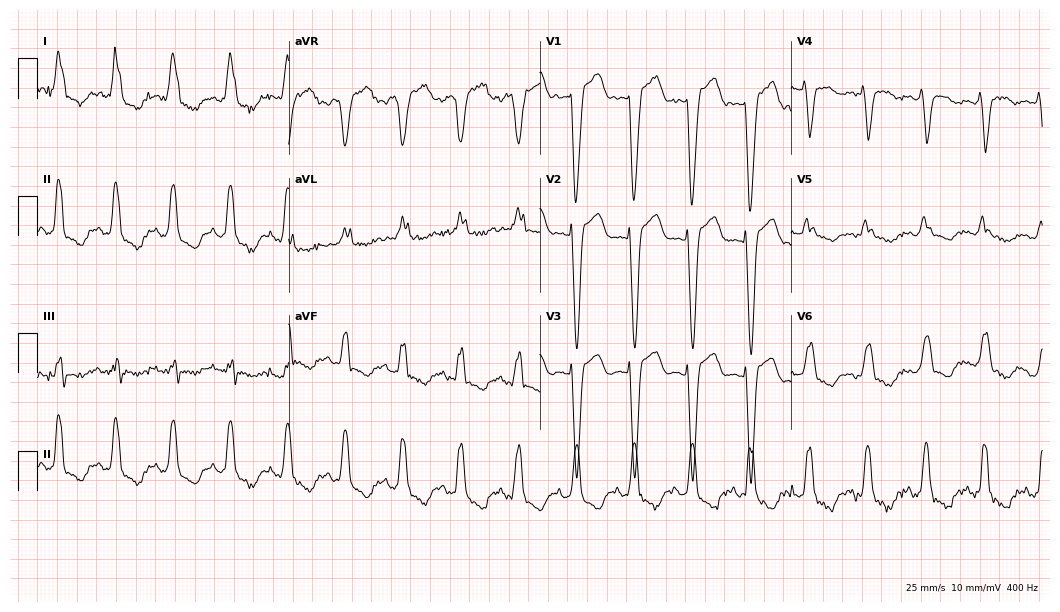
ECG — a woman, 78 years old. Findings include left bundle branch block, sinus tachycardia (a sinus rate of 100 beats per minute or more).